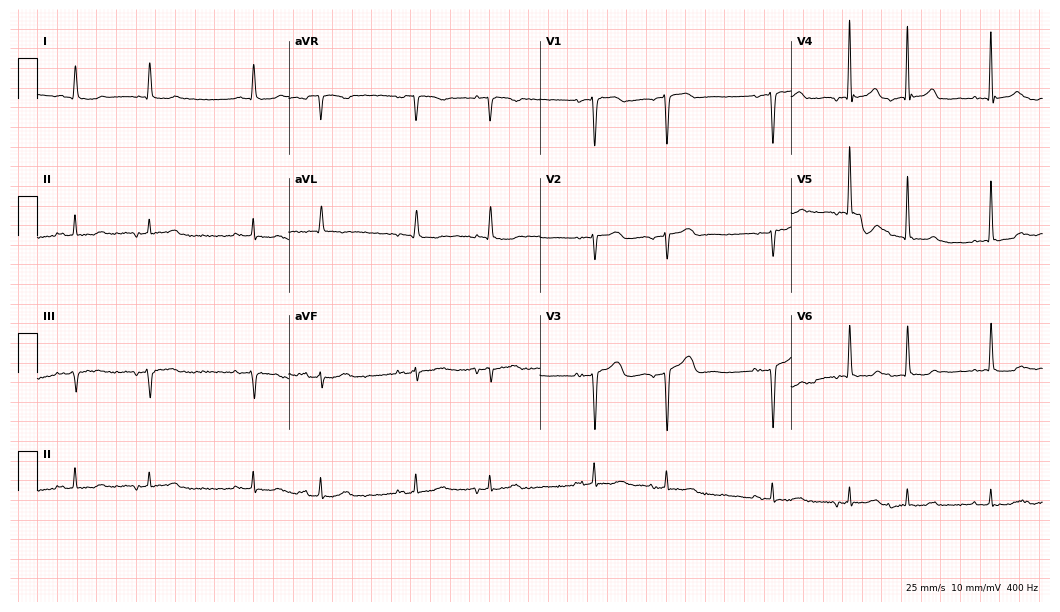
ECG (10.2-second recording at 400 Hz) — a female patient, 81 years old. Screened for six findings — first-degree AV block, right bundle branch block, left bundle branch block, sinus bradycardia, atrial fibrillation, sinus tachycardia — none is recorded. Only these six findings were labelled.